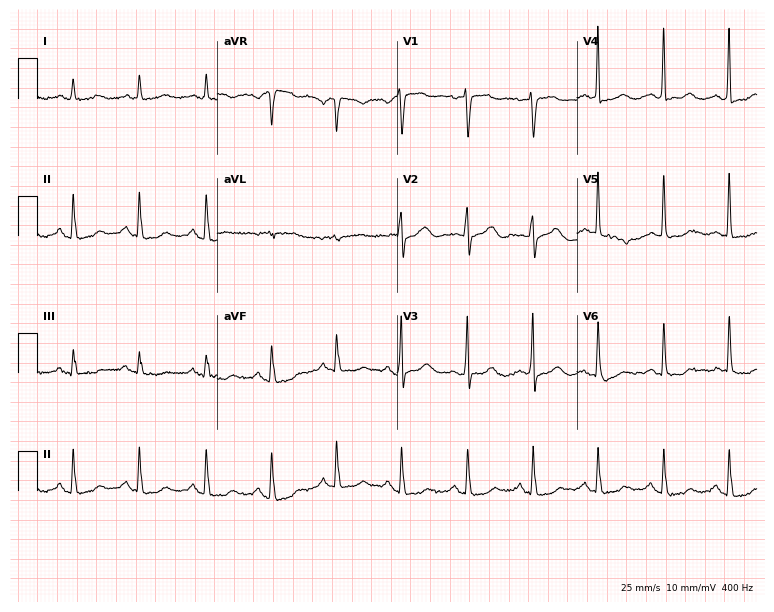
12-lead ECG from a 64-year-old woman. Labelled as a normal ECG.